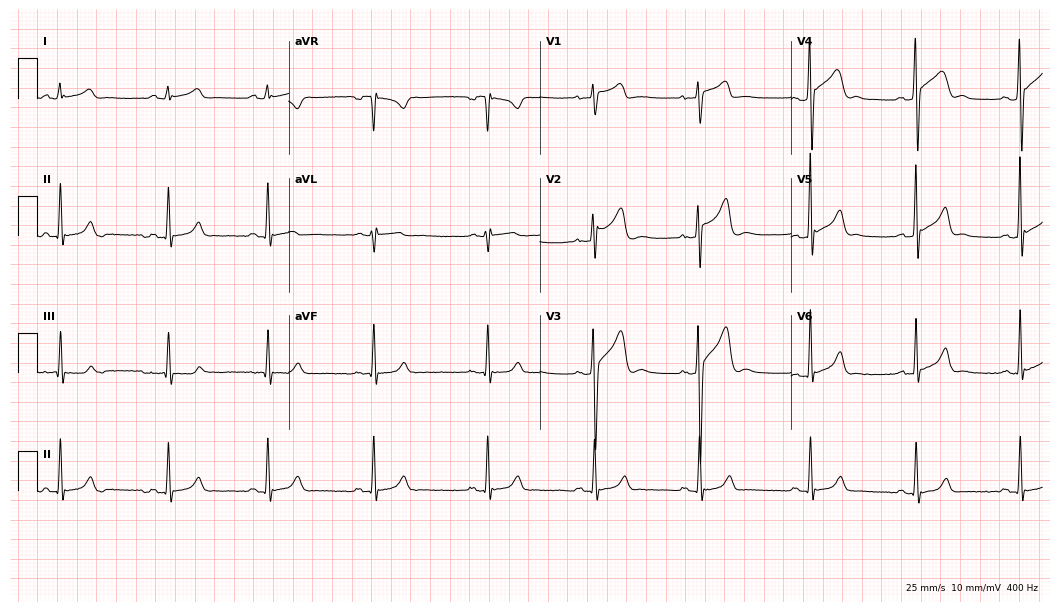
12-lead ECG from a 19-year-old man (10.2-second recording at 400 Hz). Recorded interpretation: within normal limits.